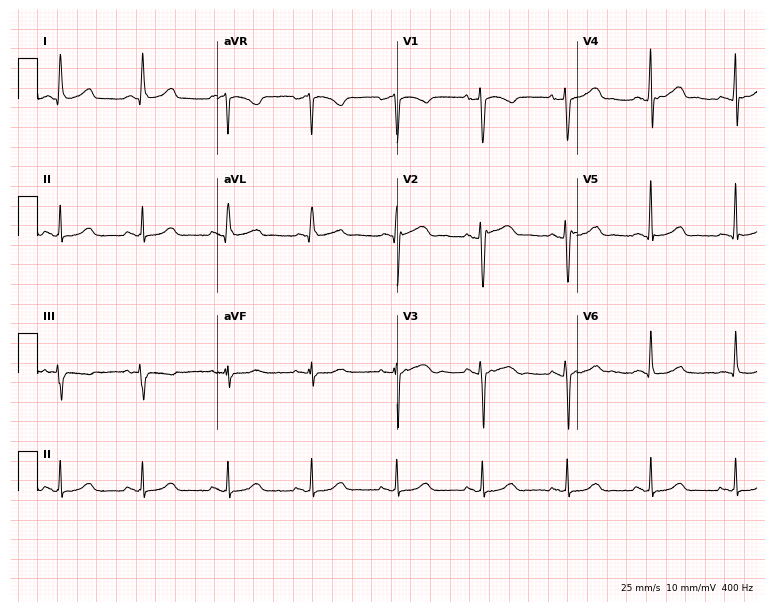
Resting 12-lead electrocardiogram (7.3-second recording at 400 Hz). Patient: a 53-year-old woman. None of these six findings is recorded: first-degree AV block, right bundle branch block, left bundle branch block, sinus bradycardia, atrial fibrillation, sinus tachycardia. Only these six findings were labelled.